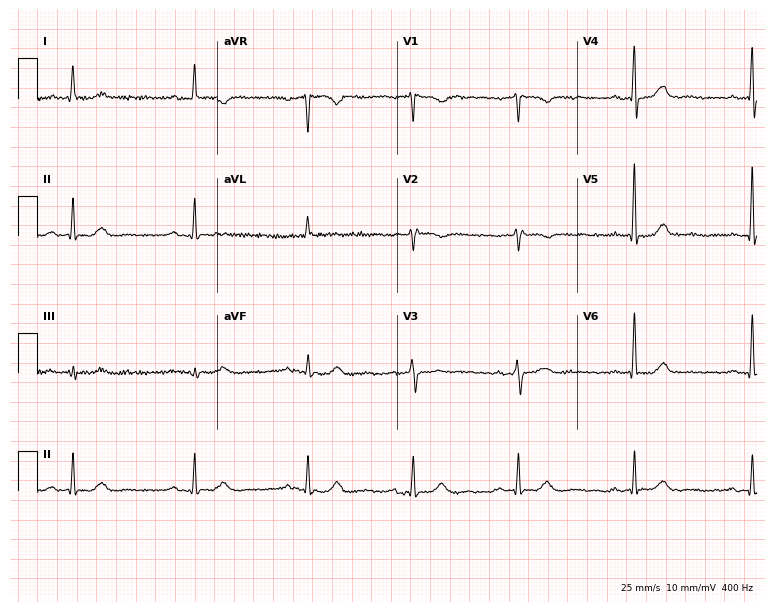
ECG (7.3-second recording at 400 Hz) — a 61-year-old female patient. Screened for six findings — first-degree AV block, right bundle branch block (RBBB), left bundle branch block (LBBB), sinus bradycardia, atrial fibrillation (AF), sinus tachycardia — none is recorded.